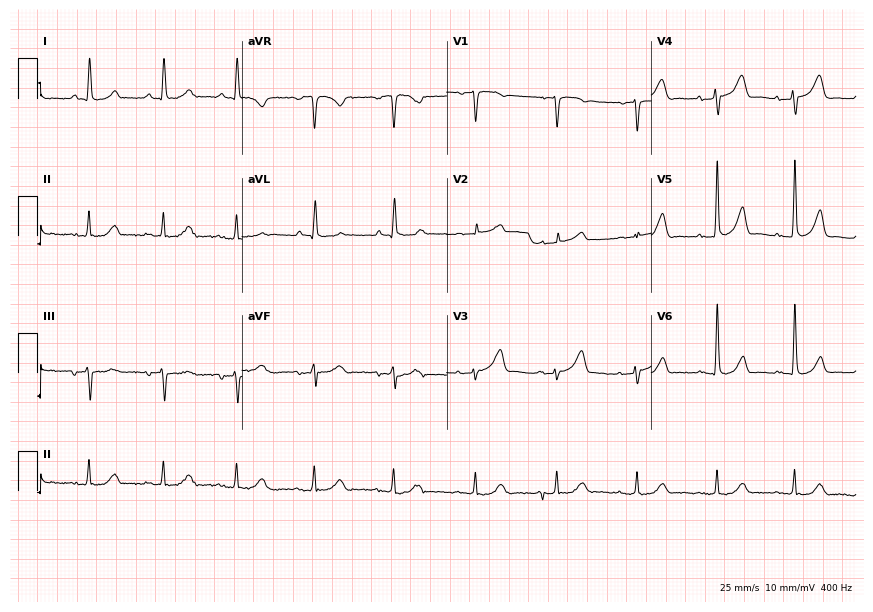
Electrocardiogram (8.3-second recording at 400 Hz), a female patient, 67 years old. Overall reading on record: normal ECG.